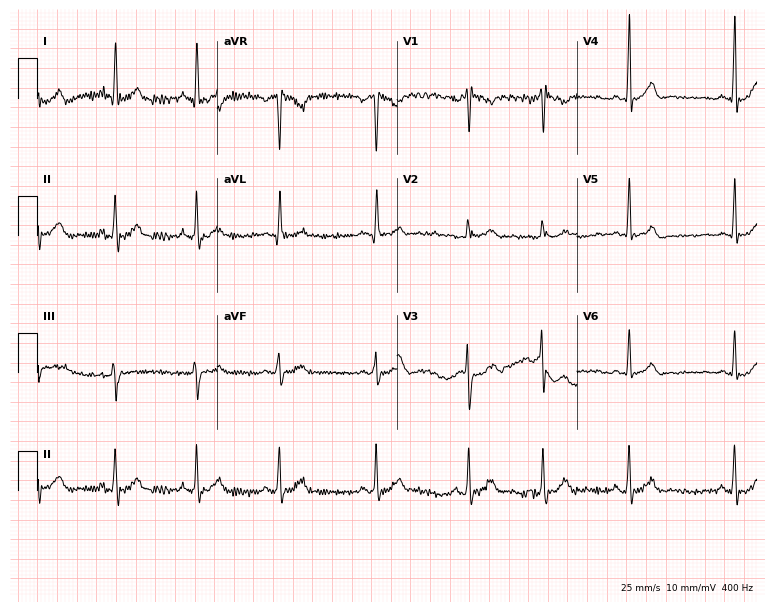
ECG (7.3-second recording at 400 Hz) — an 18-year-old female. Labelled as a normal ECG.